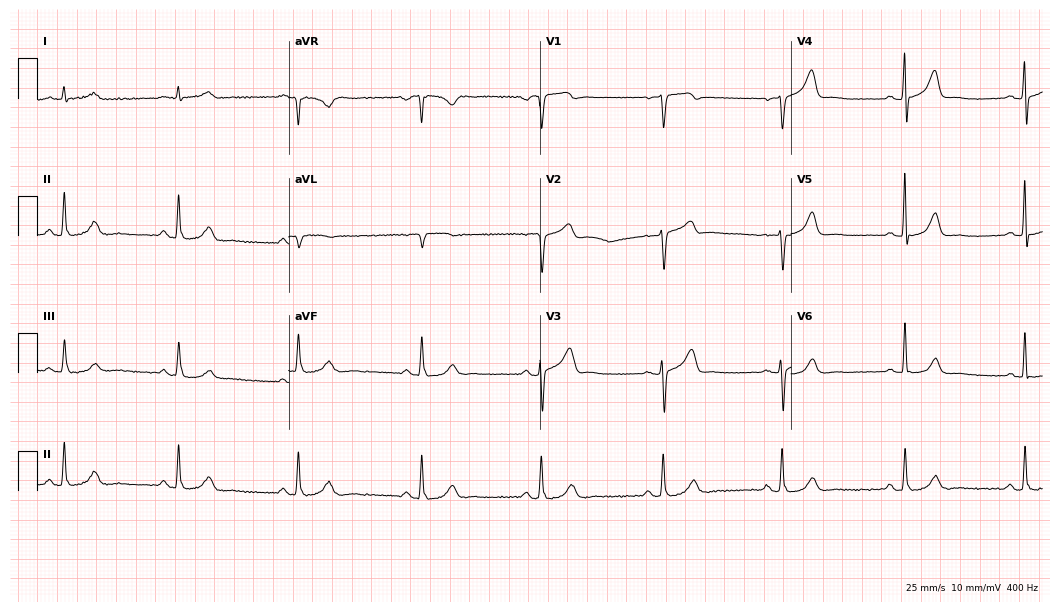
Electrocardiogram (10.2-second recording at 400 Hz), a 65-year-old male. Interpretation includes sinus bradycardia (a sinus rate of 50 beats per minute or less).